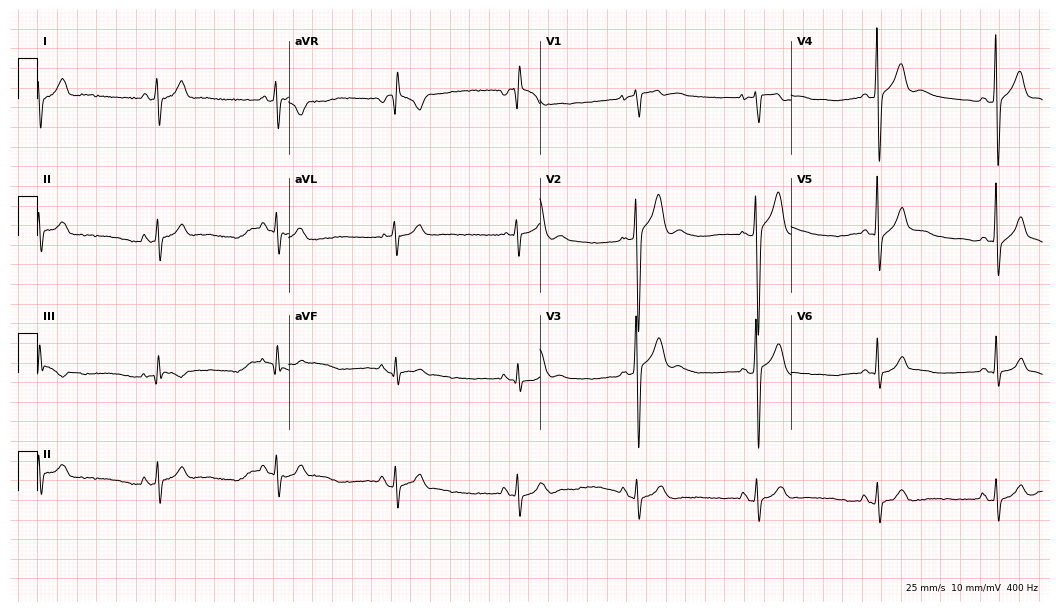
Standard 12-lead ECG recorded from a male patient, 17 years old (10.2-second recording at 400 Hz). The tracing shows sinus bradycardia (a sinus rate of 50 beats per minute or less).